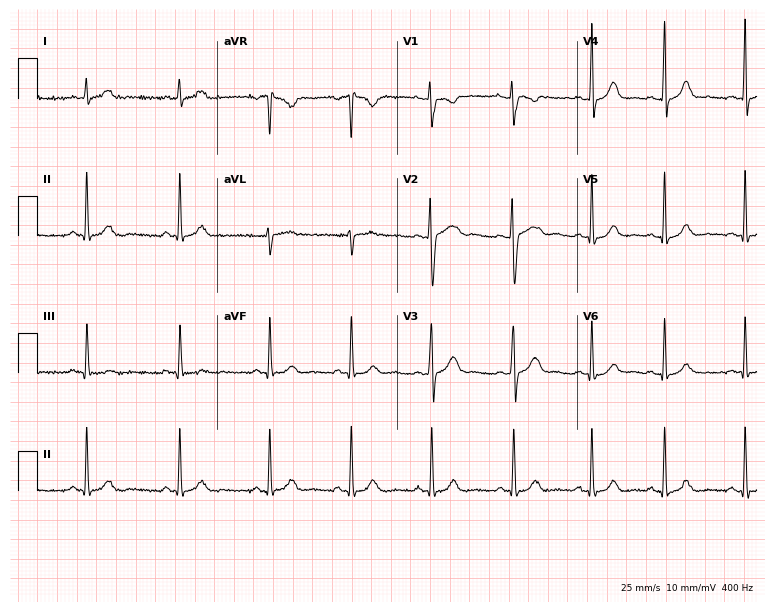
12-lead ECG from a male patient, 25 years old. Labelled as a normal ECG.